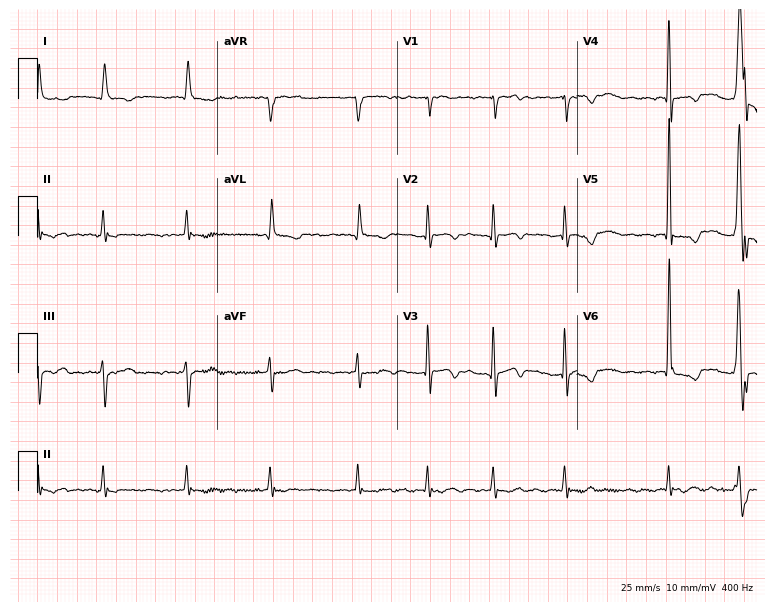
Standard 12-lead ECG recorded from a female patient, 82 years old (7.3-second recording at 400 Hz). The tracing shows atrial fibrillation (AF).